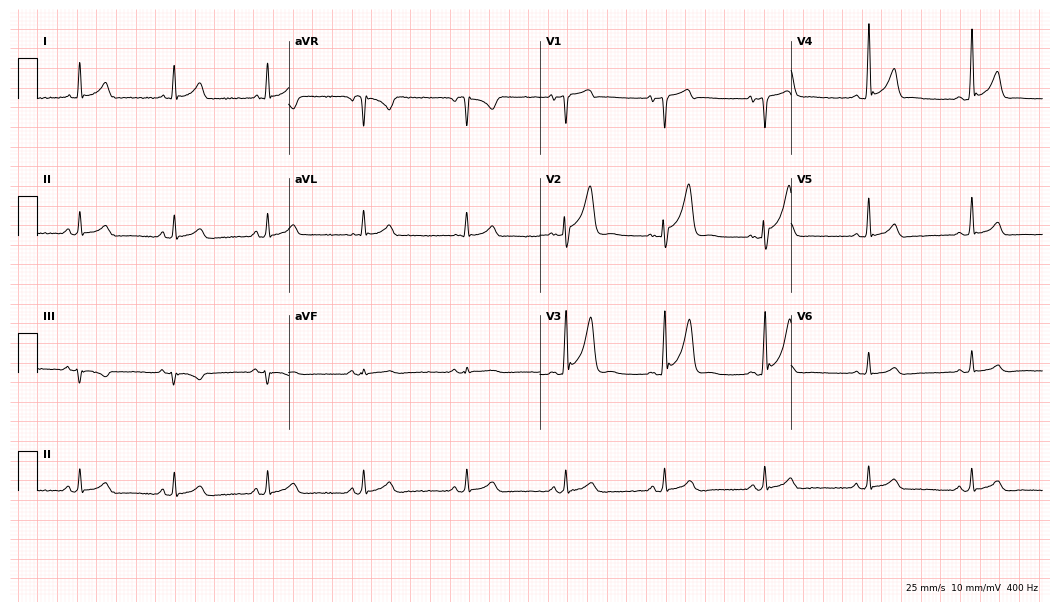
Standard 12-lead ECG recorded from a man, 27 years old. Read as a normal ECG.